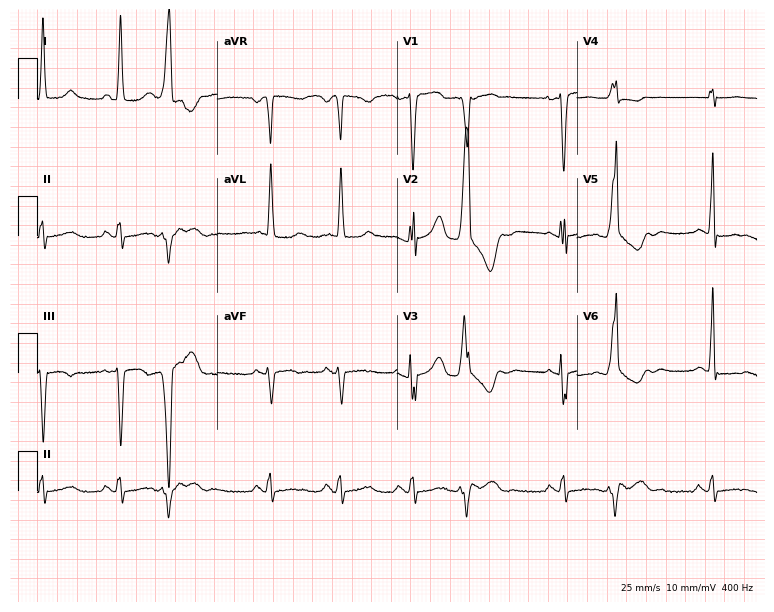
12-lead ECG from a woman, 60 years old. Recorded interpretation: within normal limits.